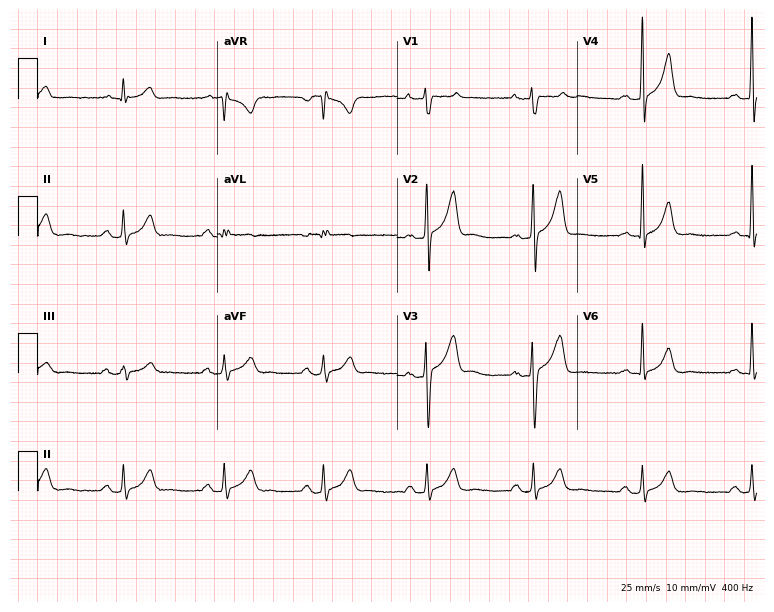
ECG — a 32-year-old male patient. Screened for six findings — first-degree AV block, right bundle branch block, left bundle branch block, sinus bradycardia, atrial fibrillation, sinus tachycardia — none is recorded.